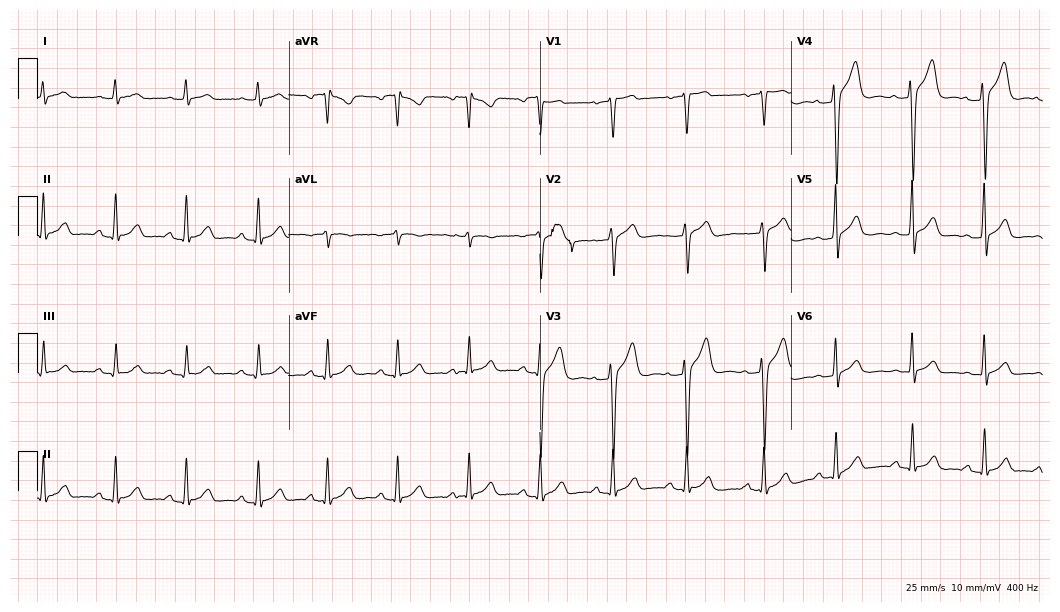
12-lead ECG (10.2-second recording at 400 Hz) from a 44-year-old male patient. Labelled as a normal ECG.